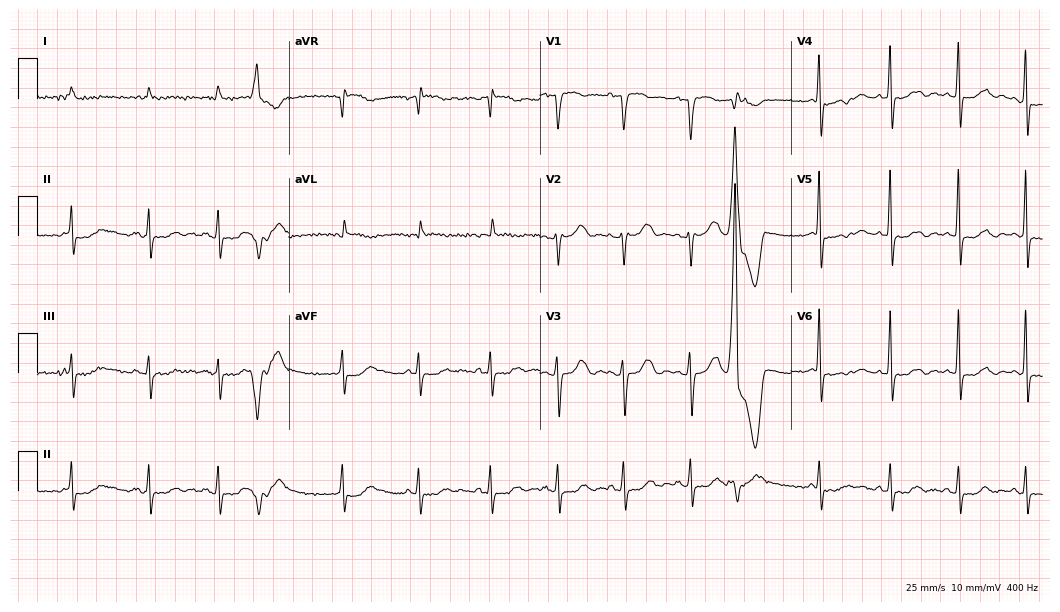
Resting 12-lead electrocardiogram. Patient: an 84-year-old female. None of these six findings is recorded: first-degree AV block, right bundle branch block, left bundle branch block, sinus bradycardia, atrial fibrillation, sinus tachycardia. Findings outside these six are not listed.